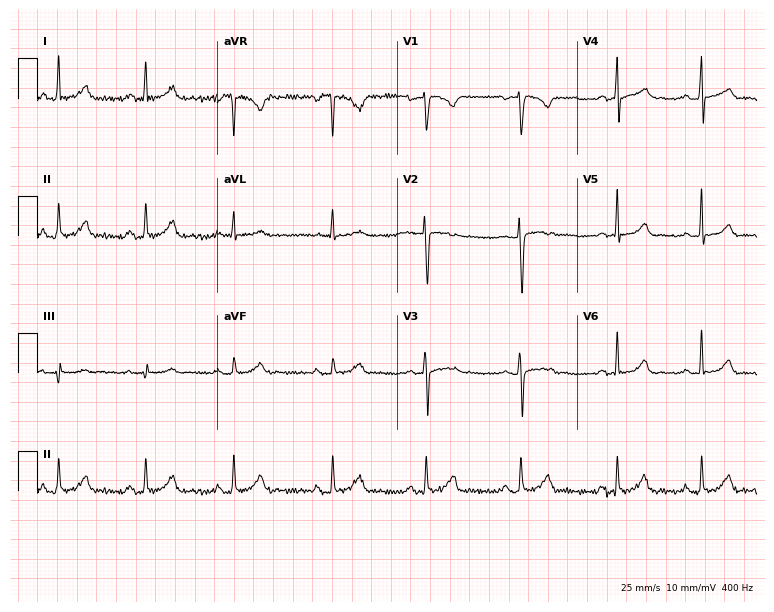
12-lead ECG from a female patient, 28 years old (7.3-second recording at 400 Hz). Recorded interpretation: within normal limits.